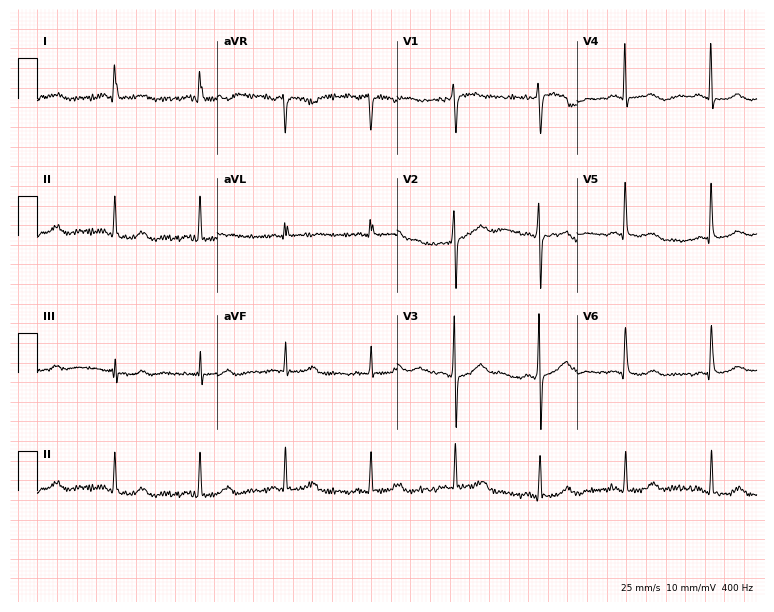
Resting 12-lead electrocardiogram. Patient: a female, 70 years old. Read as a normal ECG.